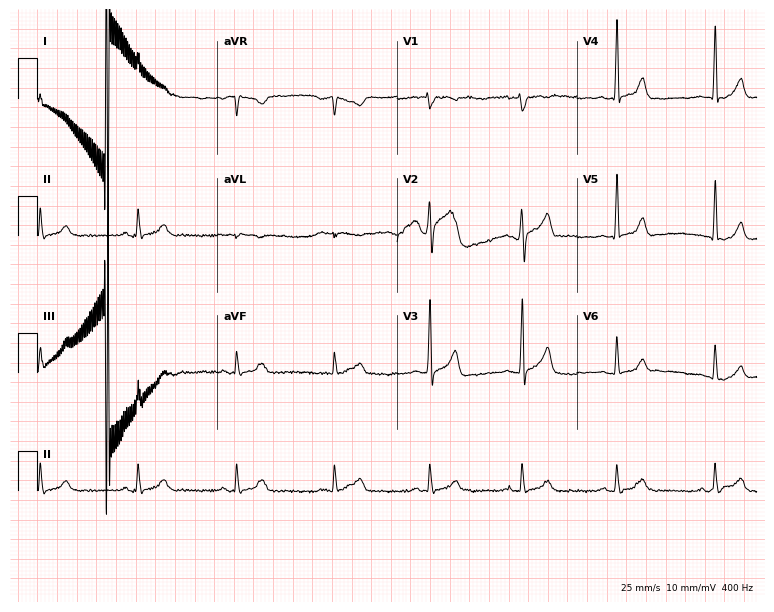
Electrocardiogram (7.3-second recording at 400 Hz), a 45-year-old male. Of the six screened findings (first-degree AV block, right bundle branch block (RBBB), left bundle branch block (LBBB), sinus bradycardia, atrial fibrillation (AF), sinus tachycardia), none is recorded.